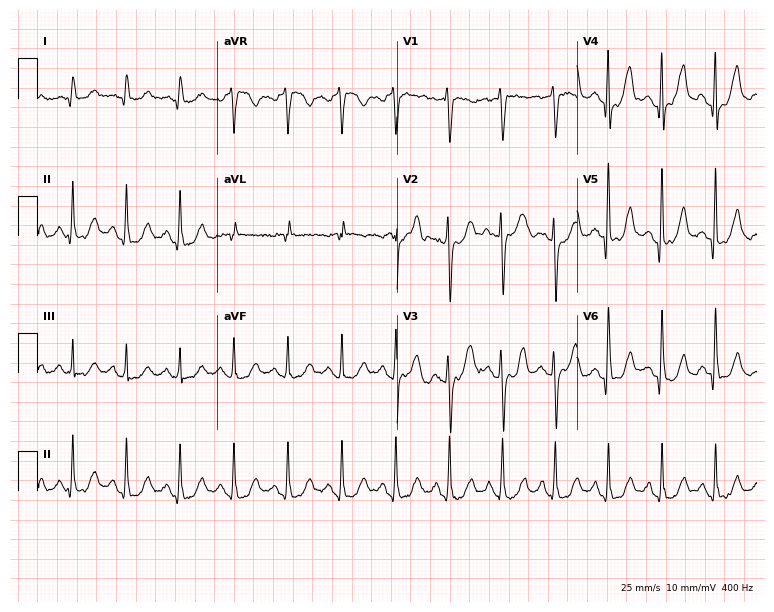
12-lead ECG from a 70-year-old female. Findings include sinus tachycardia (a sinus rate of 100 beats per minute or more).